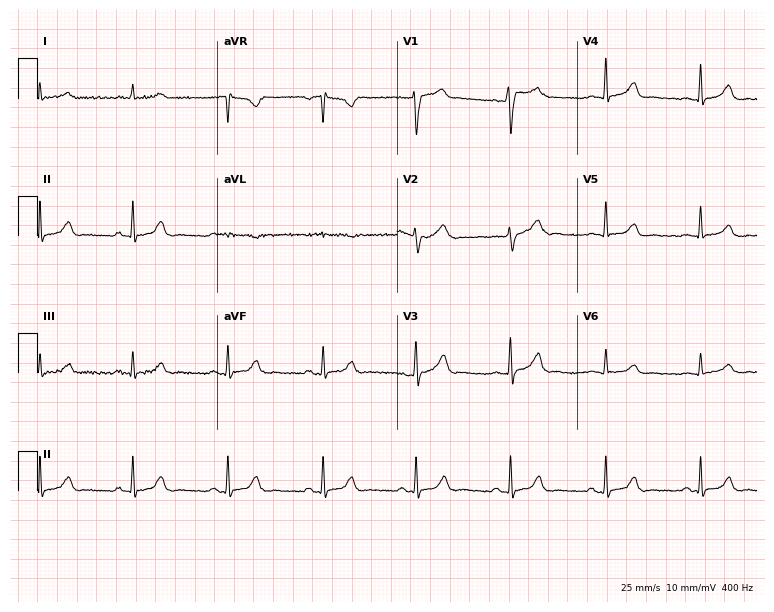
12-lead ECG from a man, 54 years old (7.3-second recording at 400 Hz). No first-degree AV block, right bundle branch block, left bundle branch block, sinus bradycardia, atrial fibrillation or sinus tachycardia recorded for this tracing. Other findings, if any, are not listed.